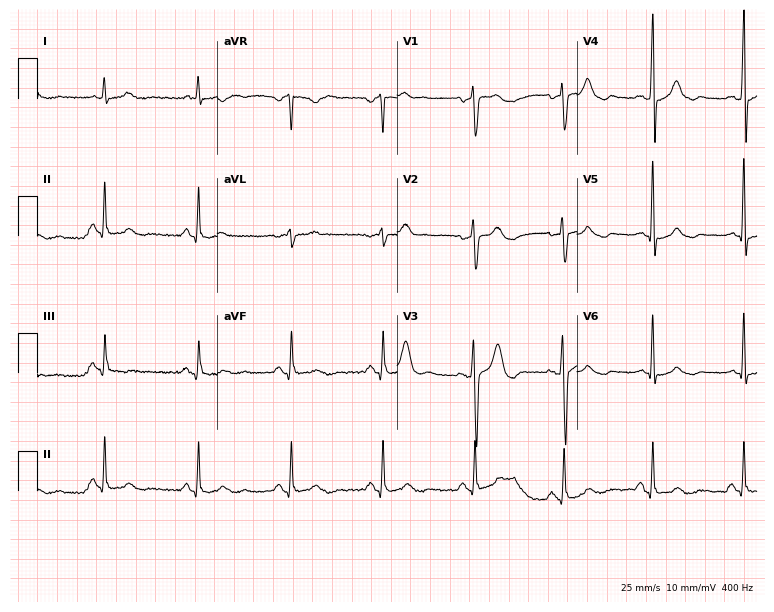
Resting 12-lead electrocardiogram. Patient: a 51-year-old male. Read as a normal ECG.